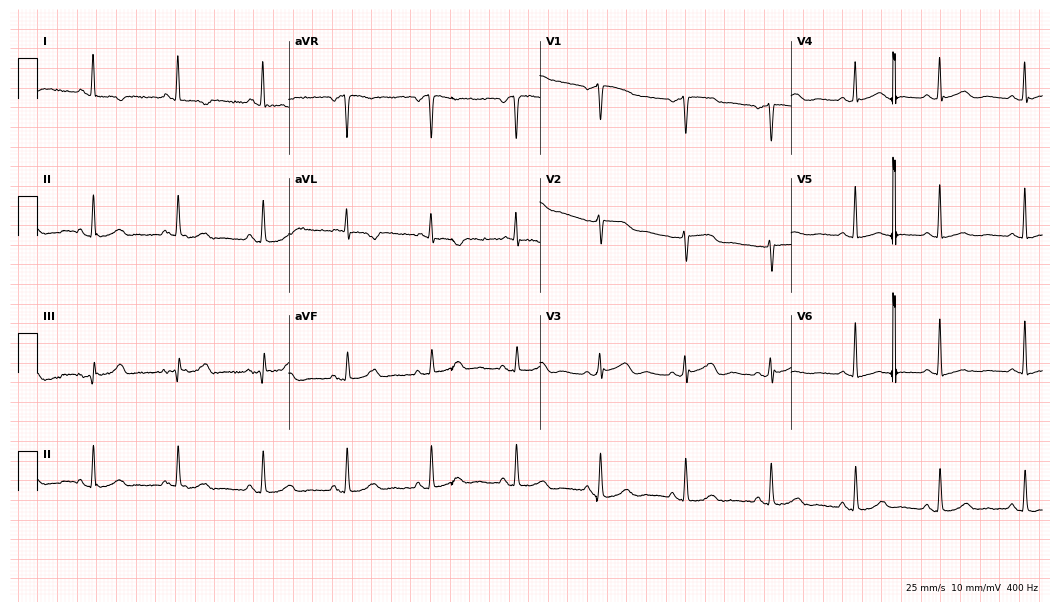
ECG — a female, 75 years old. Screened for six findings — first-degree AV block, right bundle branch block (RBBB), left bundle branch block (LBBB), sinus bradycardia, atrial fibrillation (AF), sinus tachycardia — none is recorded.